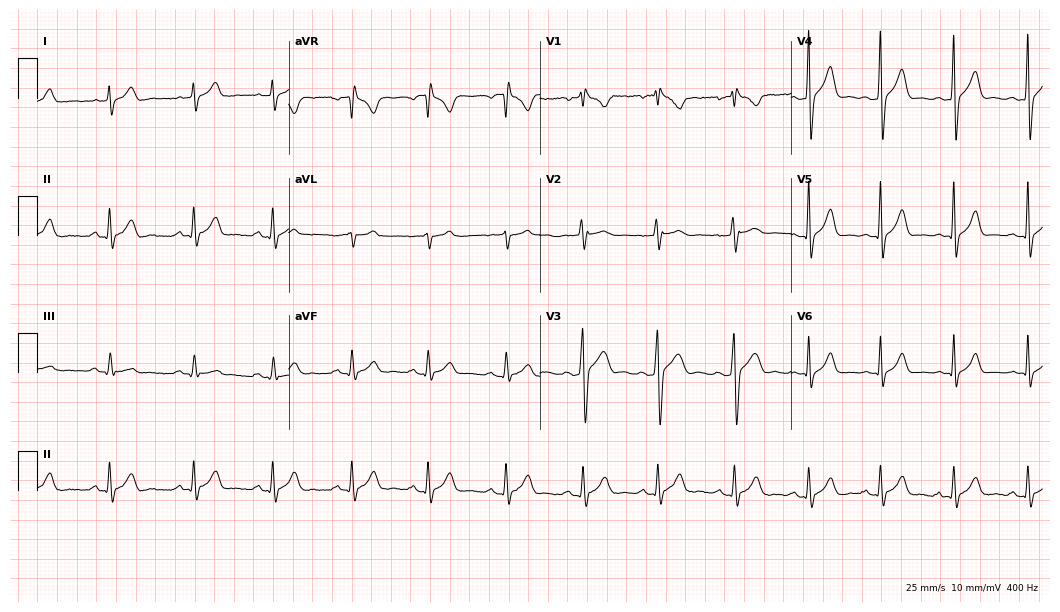
12-lead ECG from a 26-year-old man. Recorded interpretation: within normal limits.